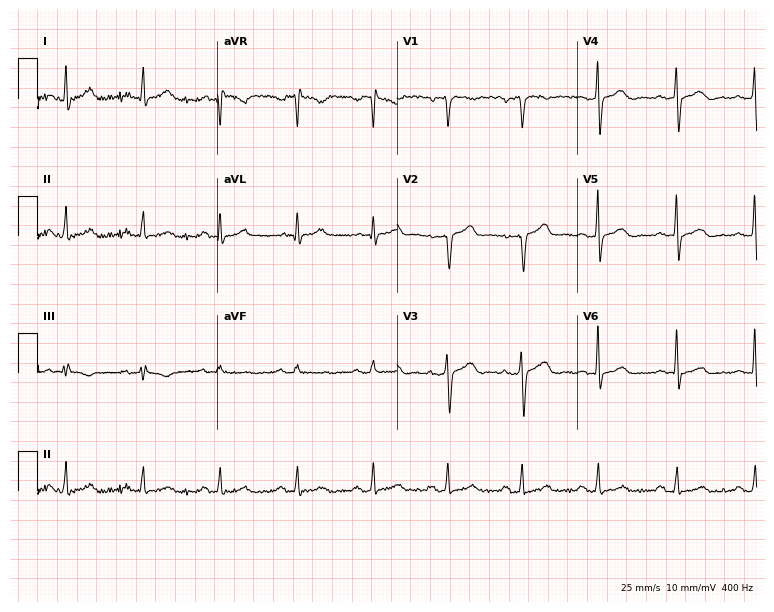
Resting 12-lead electrocardiogram (7.3-second recording at 400 Hz). Patient: a 58-year-old male. Read as a normal ECG.